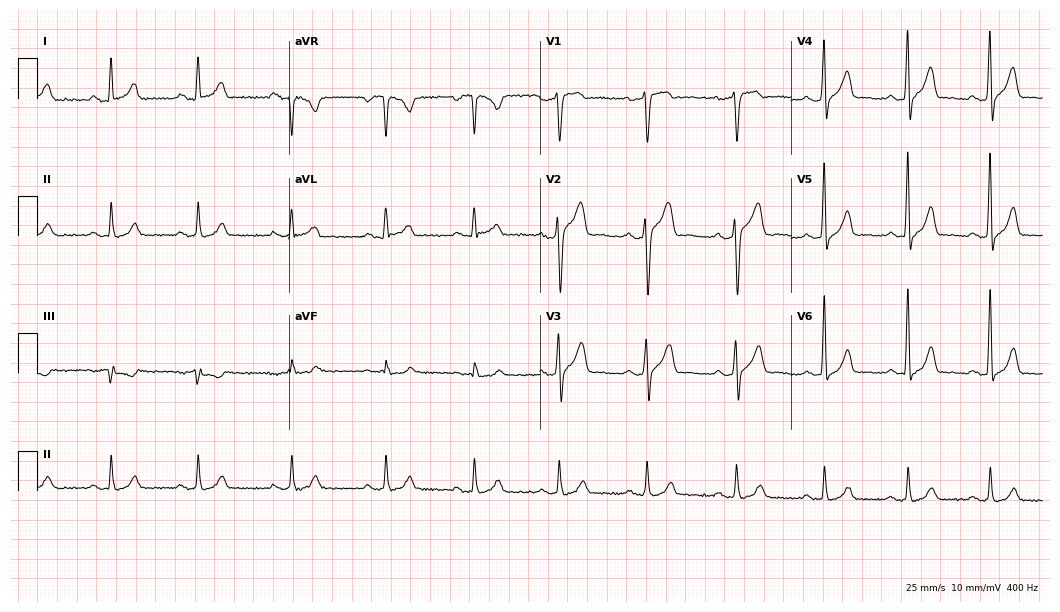
Resting 12-lead electrocardiogram. Patient: a 35-year-old man. None of these six findings is recorded: first-degree AV block, right bundle branch block, left bundle branch block, sinus bradycardia, atrial fibrillation, sinus tachycardia. Findings outside these six are not listed.